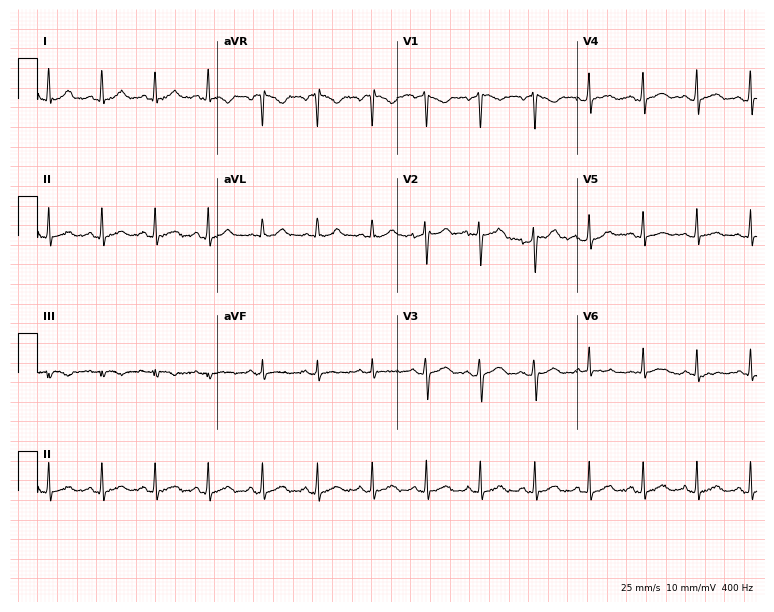
Standard 12-lead ECG recorded from a man, 28 years old (7.3-second recording at 400 Hz). The tracing shows sinus tachycardia (a sinus rate of 100 beats per minute or more).